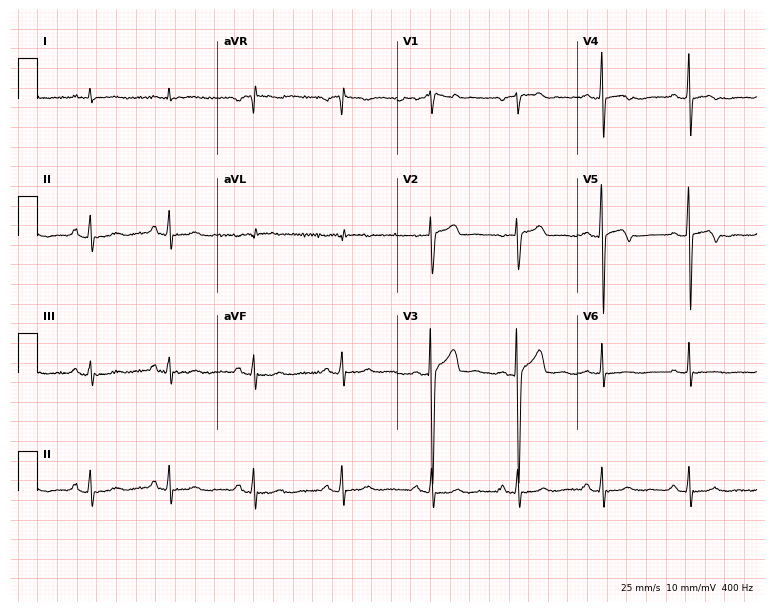
ECG — a male patient, 25 years old. Screened for six findings — first-degree AV block, right bundle branch block (RBBB), left bundle branch block (LBBB), sinus bradycardia, atrial fibrillation (AF), sinus tachycardia — none is recorded. Only these six findings were labelled.